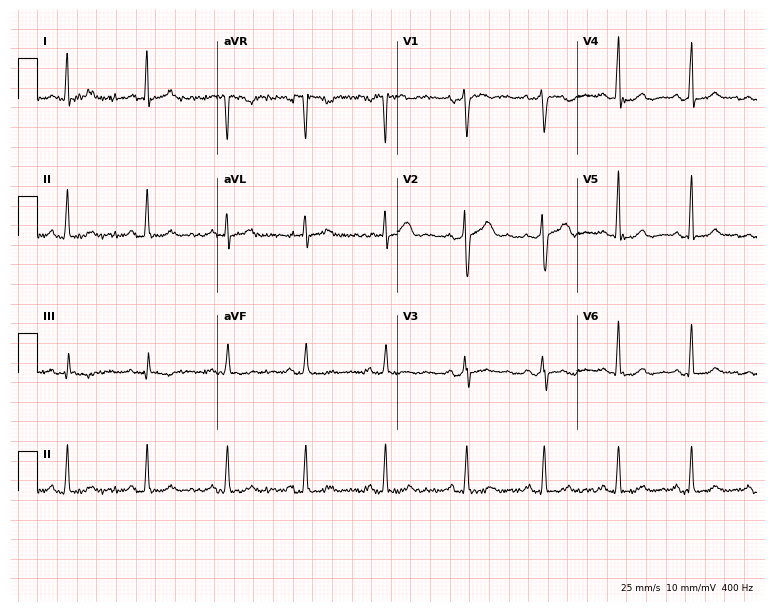
Standard 12-lead ECG recorded from a female, 38 years old (7.3-second recording at 400 Hz). None of these six findings is recorded: first-degree AV block, right bundle branch block, left bundle branch block, sinus bradycardia, atrial fibrillation, sinus tachycardia. Findings outside these six are not listed.